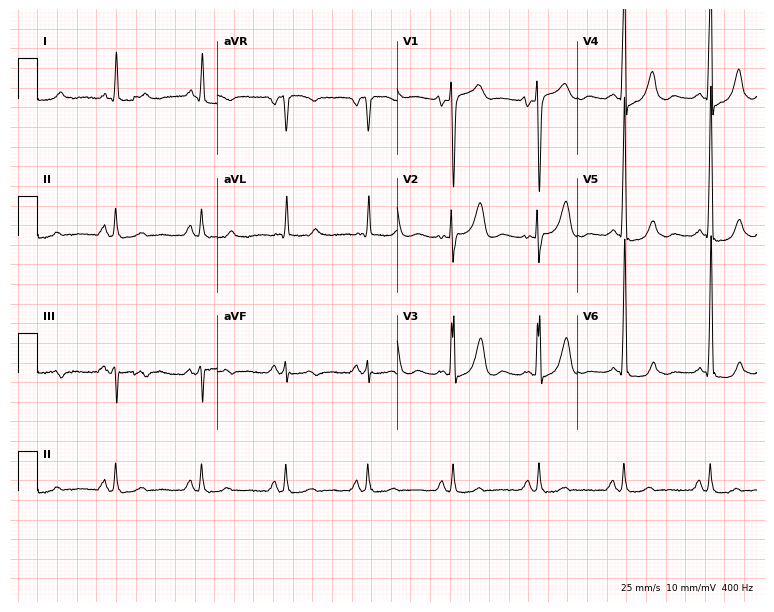
Standard 12-lead ECG recorded from a male, 77 years old. None of these six findings is recorded: first-degree AV block, right bundle branch block, left bundle branch block, sinus bradycardia, atrial fibrillation, sinus tachycardia. Findings outside these six are not listed.